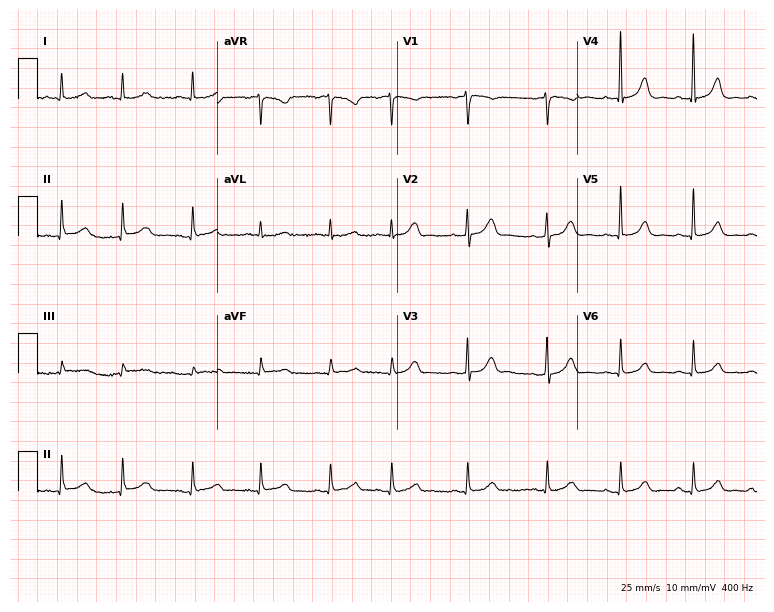
Standard 12-lead ECG recorded from a woman, 79 years old. None of these six findings is recorded: first-degree AV block, right bundle branch block, left bundle branch block, sinus bradycardia, atrial fibrillation, sinus tachycardia. Only these six findings were labelled.